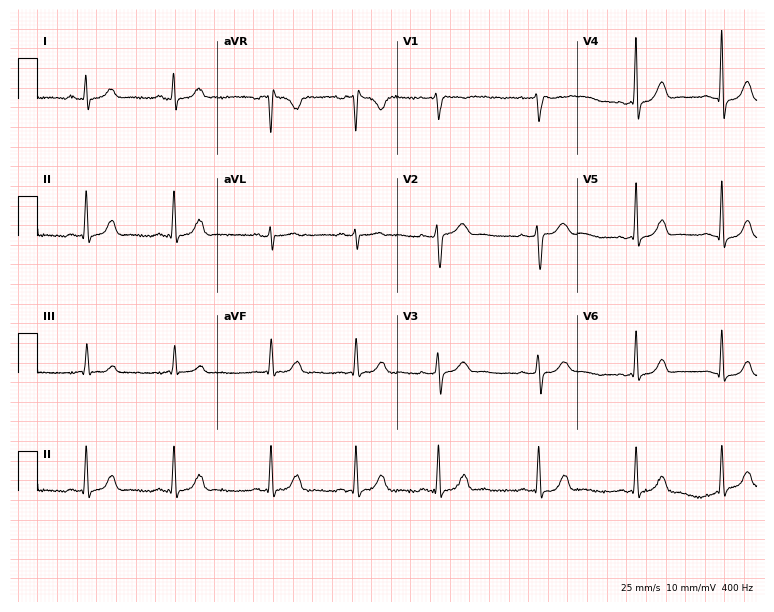
12-lead ECG (7.3-second recording at 400 Hz) from a 27-year-old woman. Screened for six findings — first-degree AV block, right bundle branch block, left bundle branch block, sinus bradycardia, atrial fibrillation, sinus tachycardia — none is recorded. Only these six findings were labelled.